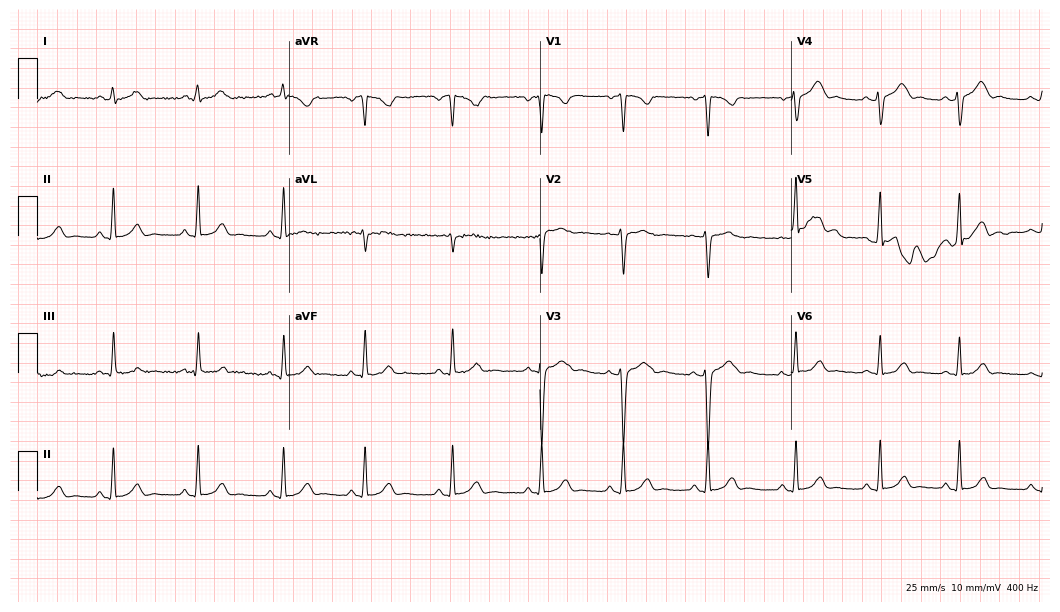
12-lead ECG from a woman, 21 years old. Labelled as a normal ECG.